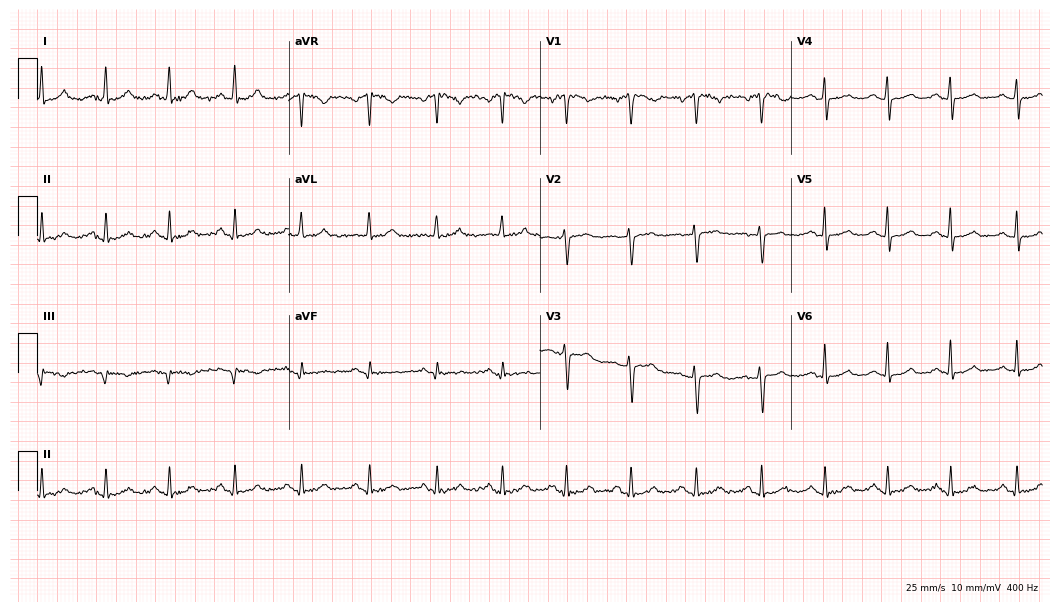
ECG (10.2-second recording at 400 Hz) — a female patient, 41 years old. Screened for six findings — first-degree AV block, right bundle branch block (RBBB), left bundle branch block (LBBB), sinus bradycardia, atrial fibrillation (AF), sinus tachycardia — none is recorded. Only these six findings were labelled.